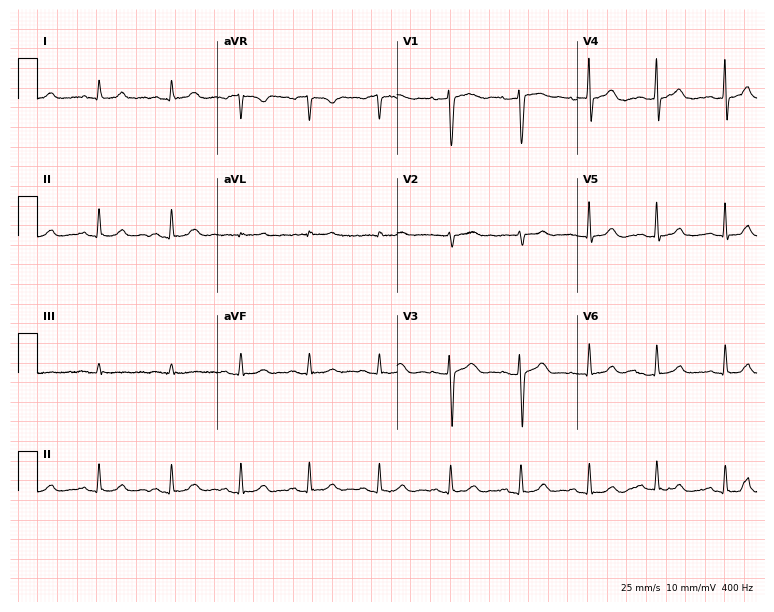
ECG — a woman, 59 years old. Labelled as a normal ECG.